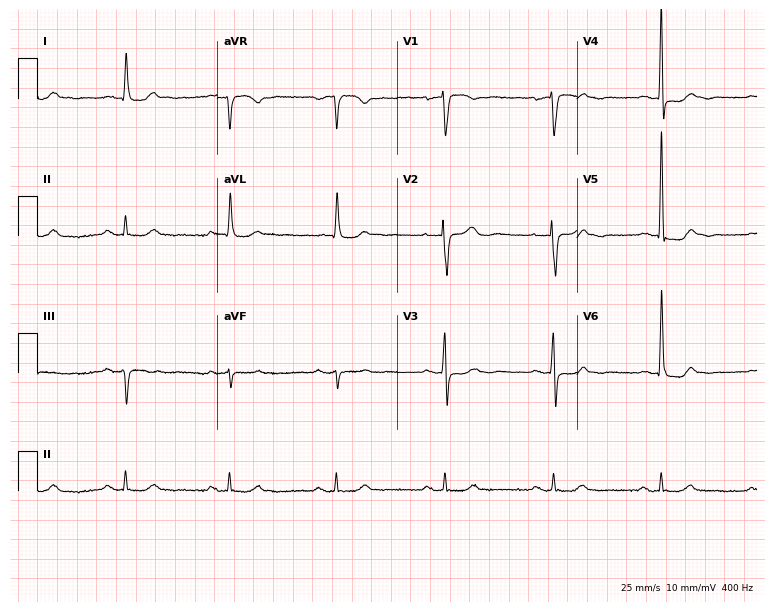
Electrocardiogram, a female patient, 80 years old. Overall reading on record: normal ECG.